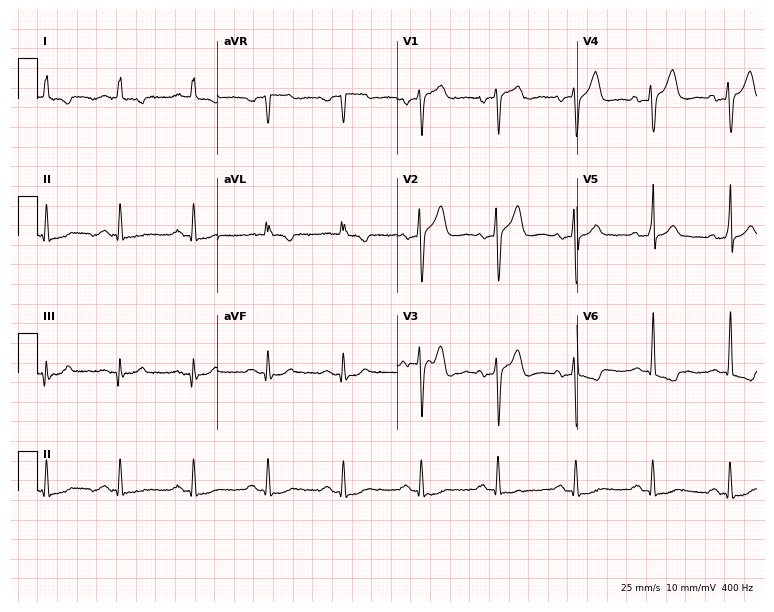
ECG — a 65-year-old male. Screened for six findings — first-degree AV block, right bundle branch block, left bundle branch block, sinus bradycardia, atrial fibrillation, sinus tachycardia — none is recorded.